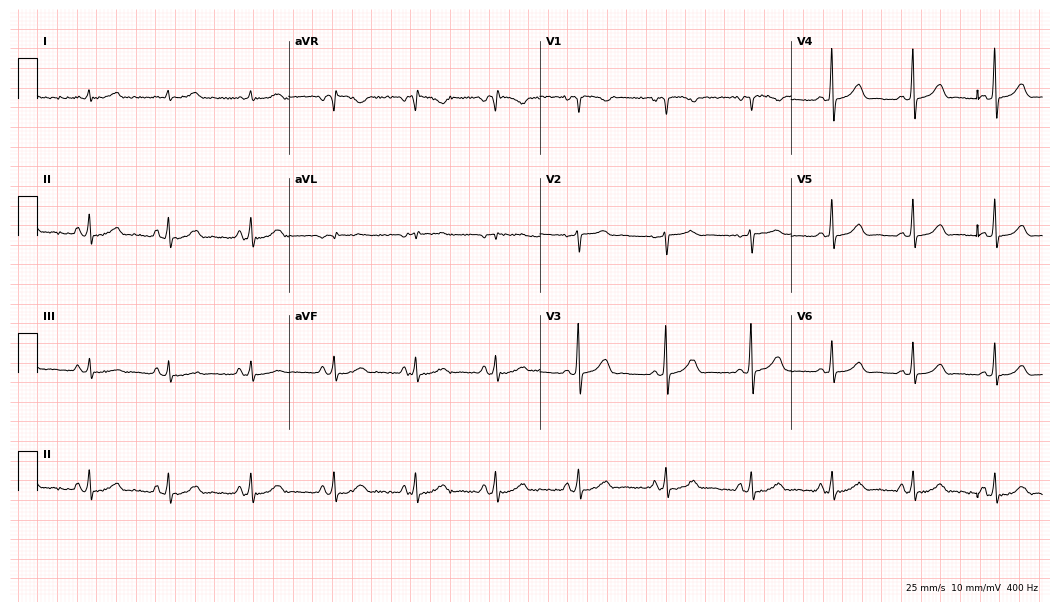
Resting 12-lead electrocardiogram. Patient: a male, 36 years old. None of these six findings is recorded: first-degree AV block, right bundle branch block, left bundle branch block, sinus bradycardia, atrial fibrillation, sinus tachycardia. Other findings, if any, are not listed.